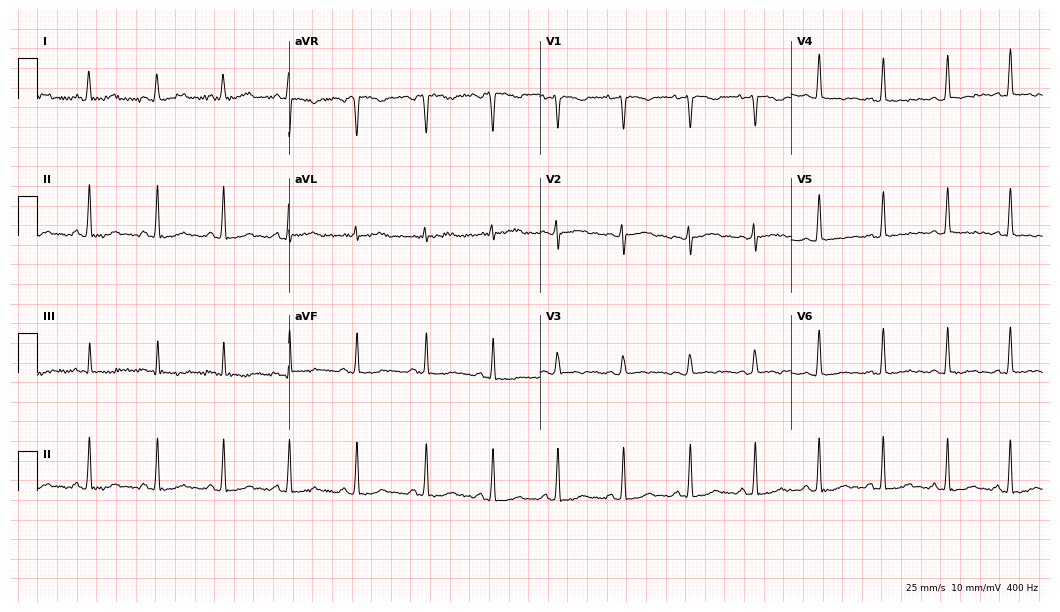
Standard 12-lead ECG recorded from a 23-year-old female. None of these six findings is recorded: first-degree AV block, right bundle branch block, left bundle branch block, sinus bradycardia, atrial fibrillation, sinus tachycardia. Only these six findings were labelled.